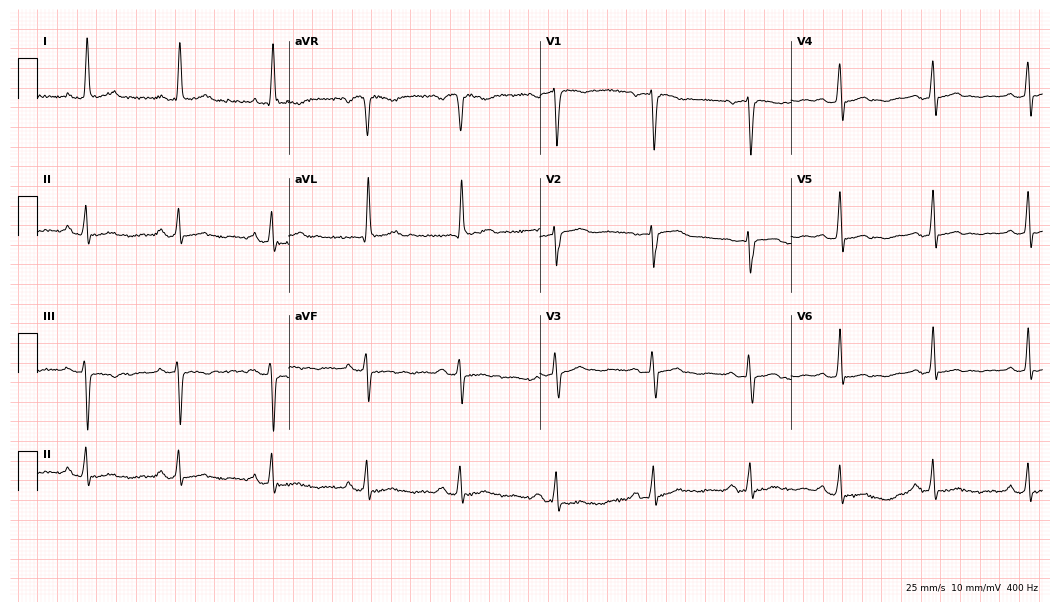
Resting 12-lead electrocardiogram. Patient: a 60-year-old female. Read as a normal ECG.